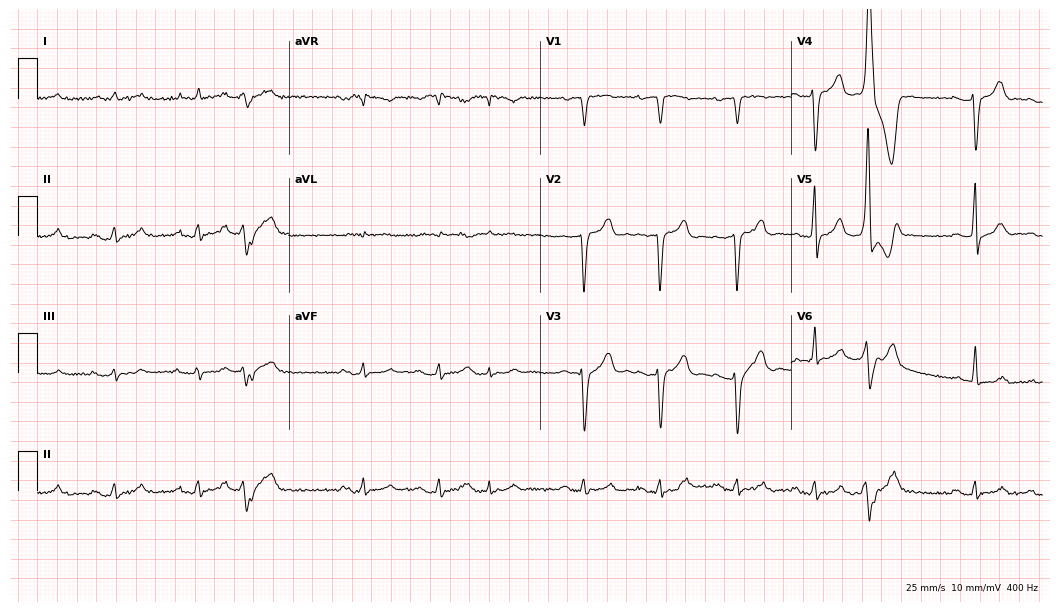
12-lead ECG (10.2-second recording at 400 Hz) from a male, 67 years old. Findings include first-degree AV block.